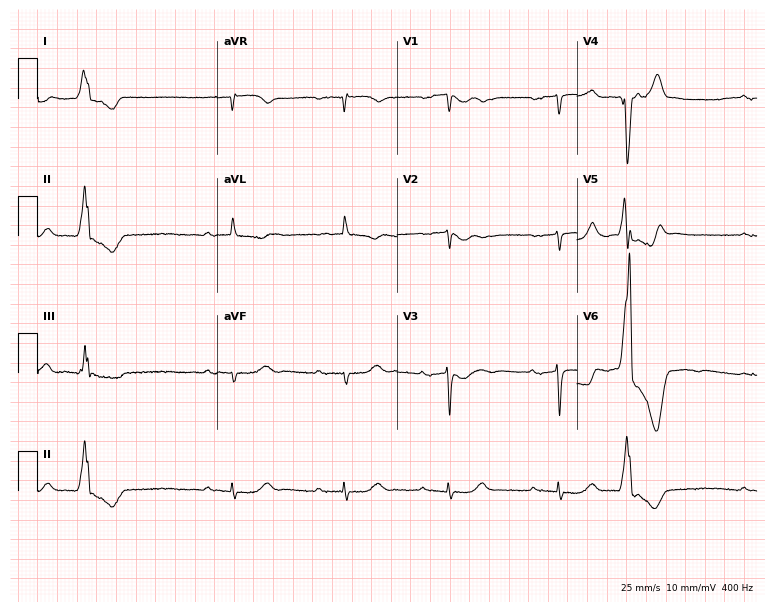
Electrocardiogram (7.3-second recording at 400 Hz), a woman, 85 years old. Of the six screened findings (first-degree AV block, right bundle branch block, left bundle branch block, sinus bradycardia, atrial fibrillation, sinus tachycardia), none is recorded.